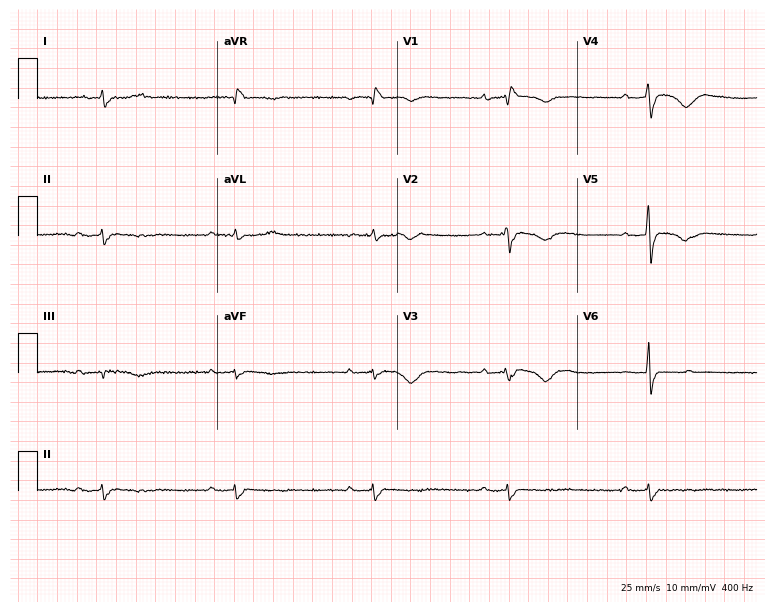
ECG (7.3-second recording at 400 Hz) — a woman, 42 years old. Findings include first-degree AV block, right bundle branch block, sinus bradycardia (a sinus rate of 50 beats per minute or less).